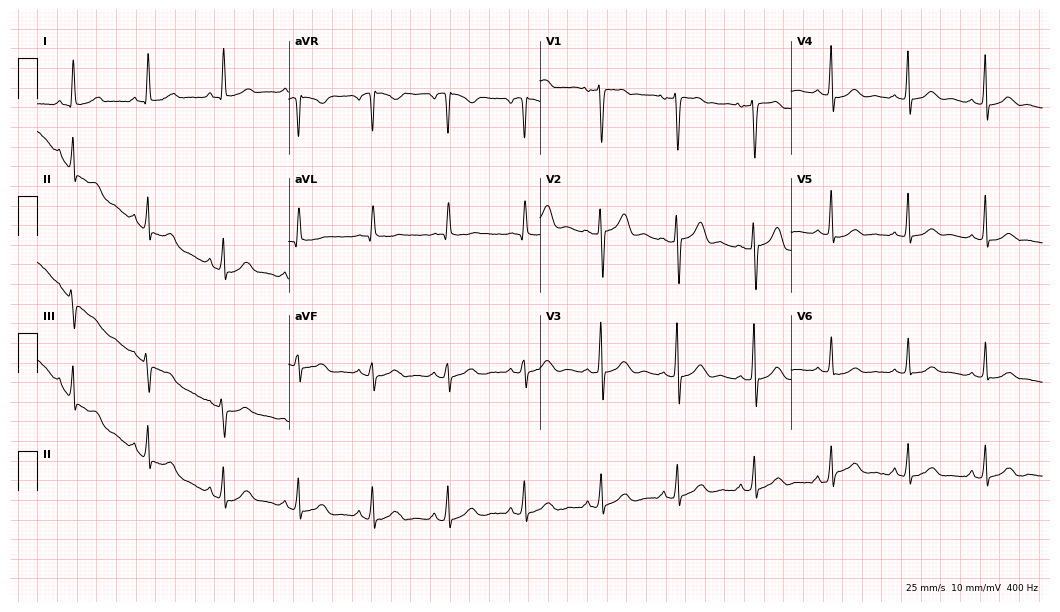
Electrocardiogram (10.2-second recording at 400 Hz), a 54-year-old female patient. Overall reading on record: normal ECG.